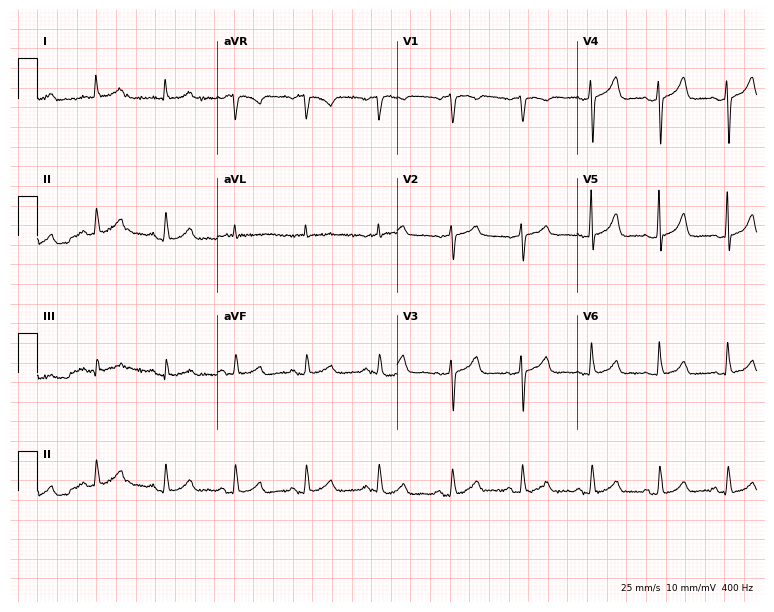
ECG — a female patient, 71 years old. Labelled as a normal ECG.